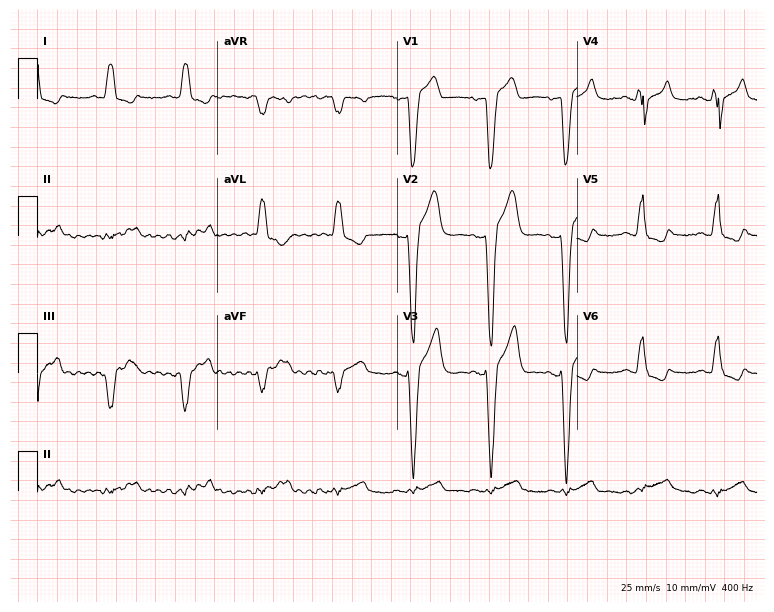
ECG — a male patient, 57 years old. Findings include left bundle branch block.